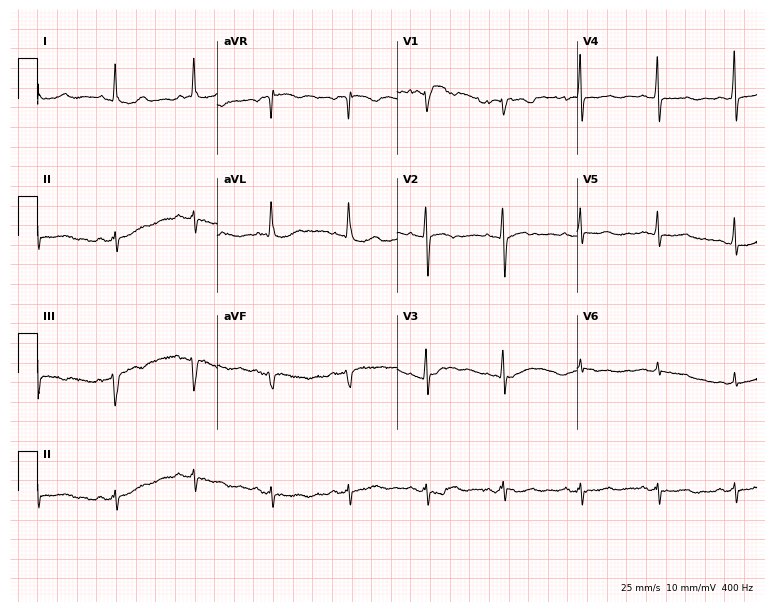
Resting 12-lead electrocardiogram (7.3-second recording at 400 Hz). Patient: a woman, 64 years old. None of these six findings is recorded: first-degree AV block, right bundle branch block, left bundle branch block, sinus bradycardia, atrial fibrillation, sinus tachycardia. Only these six findings were labelled.